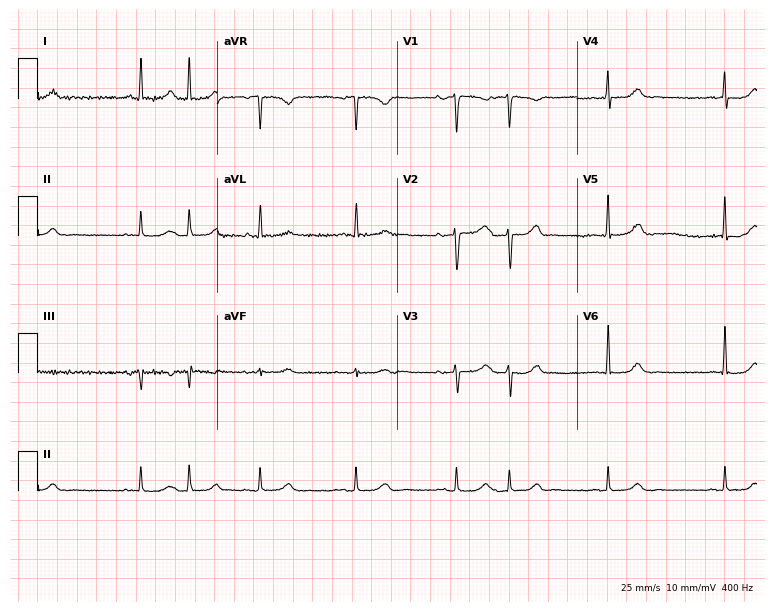
Electrocardiogram, a female patient, 64 years old. Of the six screened findings (first-degree AV block, right bundle branch block (RBBB), left bundle branch block (LBBB), sinus bradycardia, atrial fibrillation (AF), sinus tachycardia), none is recorded.